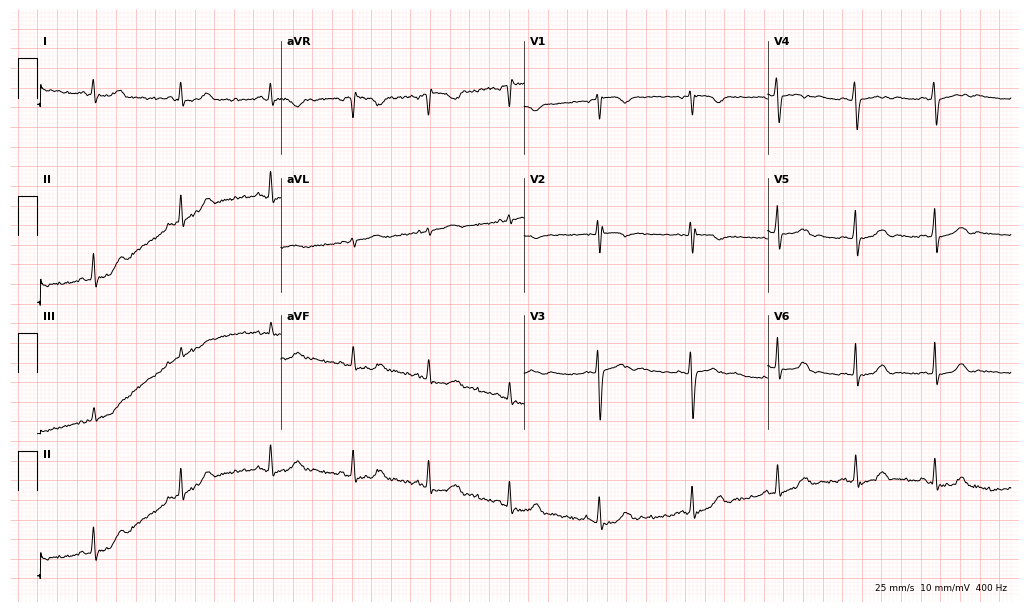
Electrocardiogram, a woman, 19 years old. Of the six screened findings (first-degree AV block, right bundle branch block, left bundle branch block, sinus bradycardia, atrial fibrillation, sinus tachycardia), none is recorded.